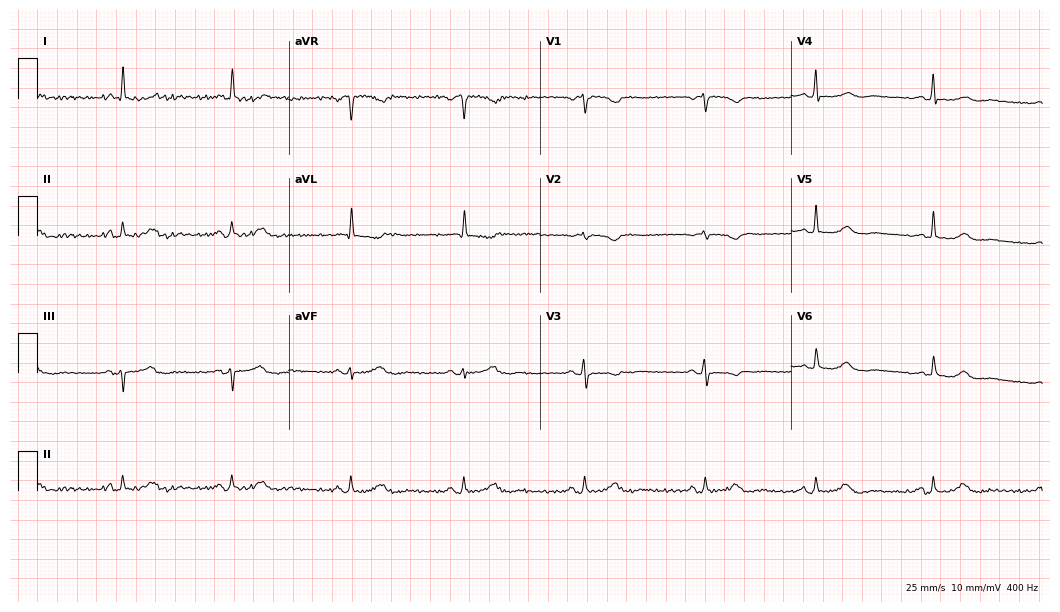
12-lead ECG (10.2-second recording at 400 Hz) from a female patient, 51 years old. Screened for six findings — first-degree AV block, right bundle branch block, left bundle branch block, sinus bradycardia, atrial fibrillation, sinus tachycardia — none is recorded. Only these six findings were labelled.